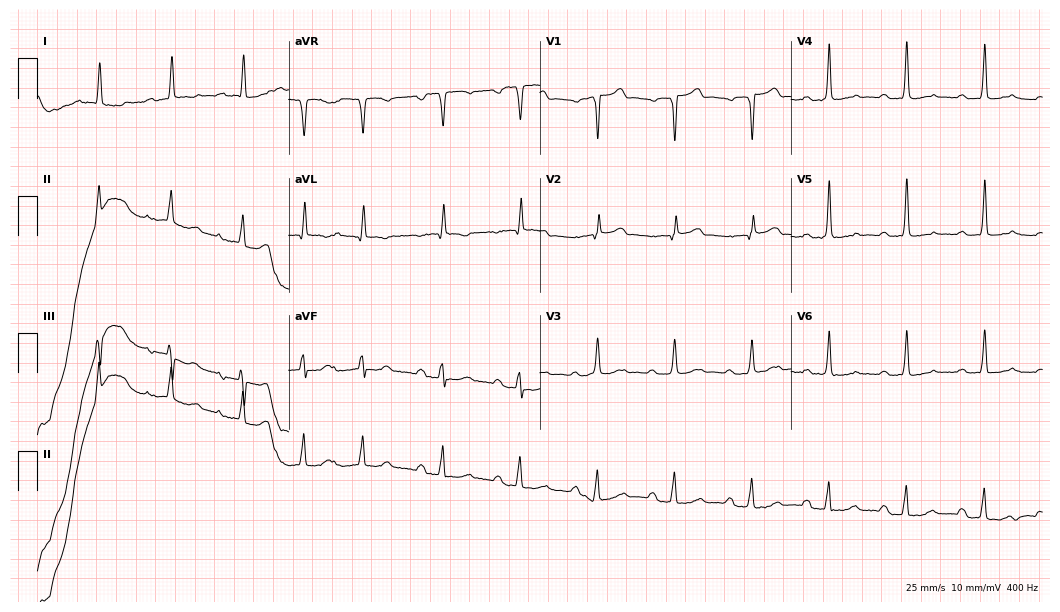
ECG (10.2-second recording at 400 Hz) — a male patient, 73 years old. Findings include first-degree AV block.